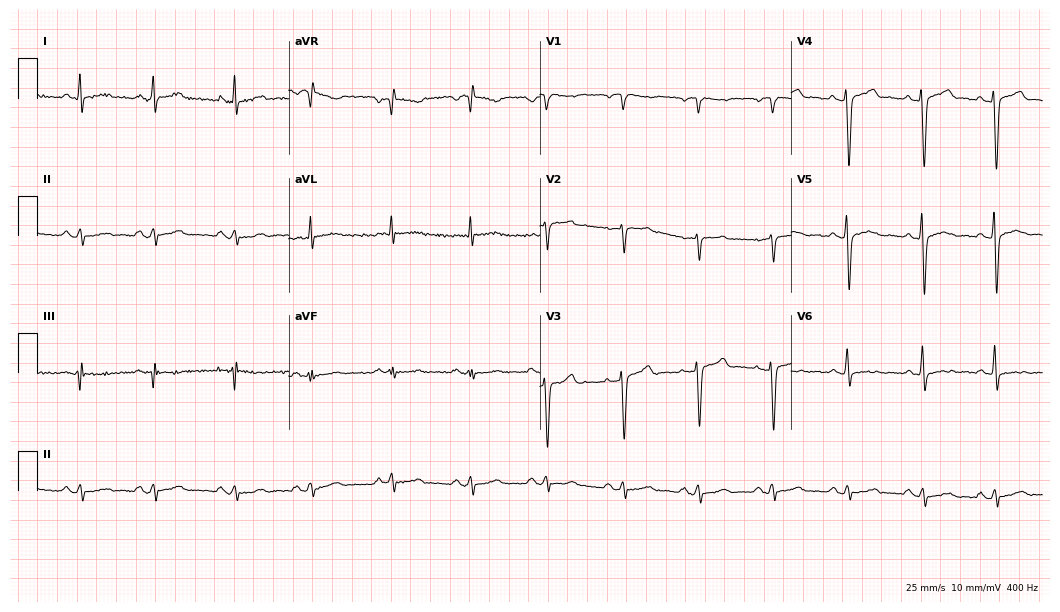
12-lead ECG from a 60-year-old male patient. No first-degree AV block, right bundle branch block, left bundle branch block, sinus bradycardia, atrial fibrillation or sinus tachycardia recorded for this tracing.